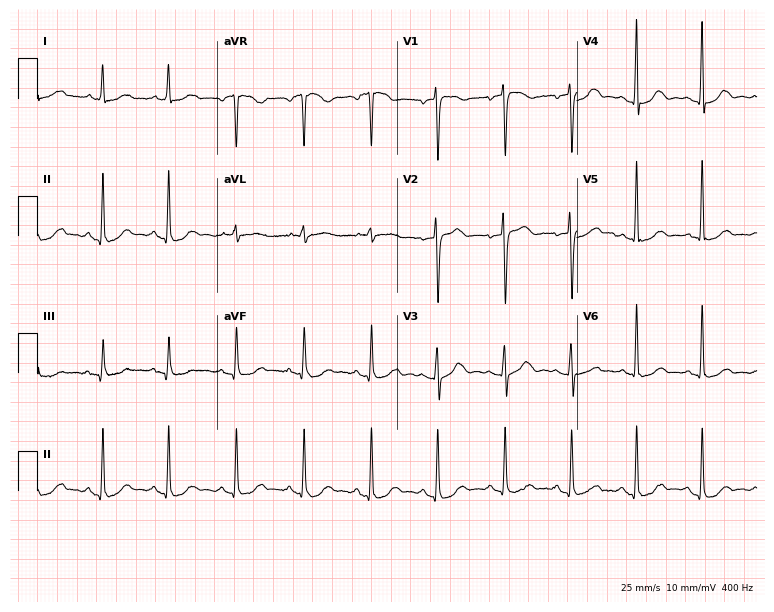
Electrocardiogram, an 86-year-old female. Overall reading on record: normal ECG.